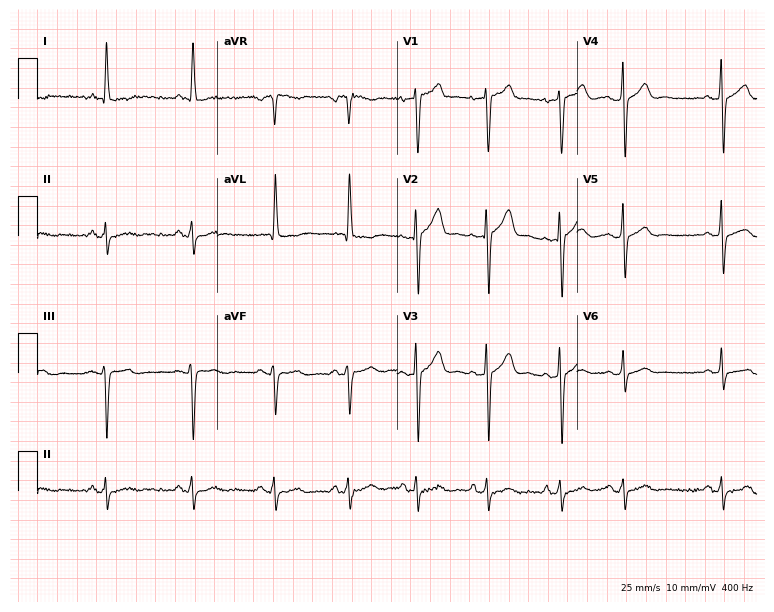
Resting 12-lead electrocardiogram. Patient: a male, 70 years old. None of these six findings is recorded: first-degree AV block, right bundle branch block, left bundle branch block, sinus bradycardia, atrial fibrillation, sinus tachycardia. Findings outside these six are not listed.